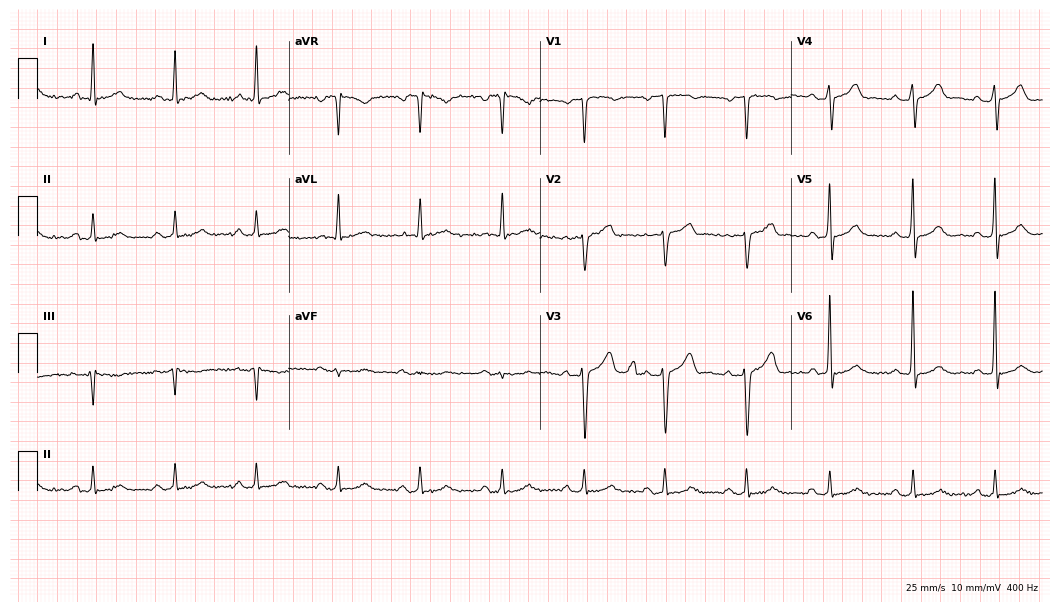
12-lead ECG from a male, 53 years old (10.2-second recording at 400 Hz). No first-degree AV block, right bundle branch block, left bundle branch block, sinus bradycardia, atrial fibrillation or sinus tachycardia recorded for this tracing.